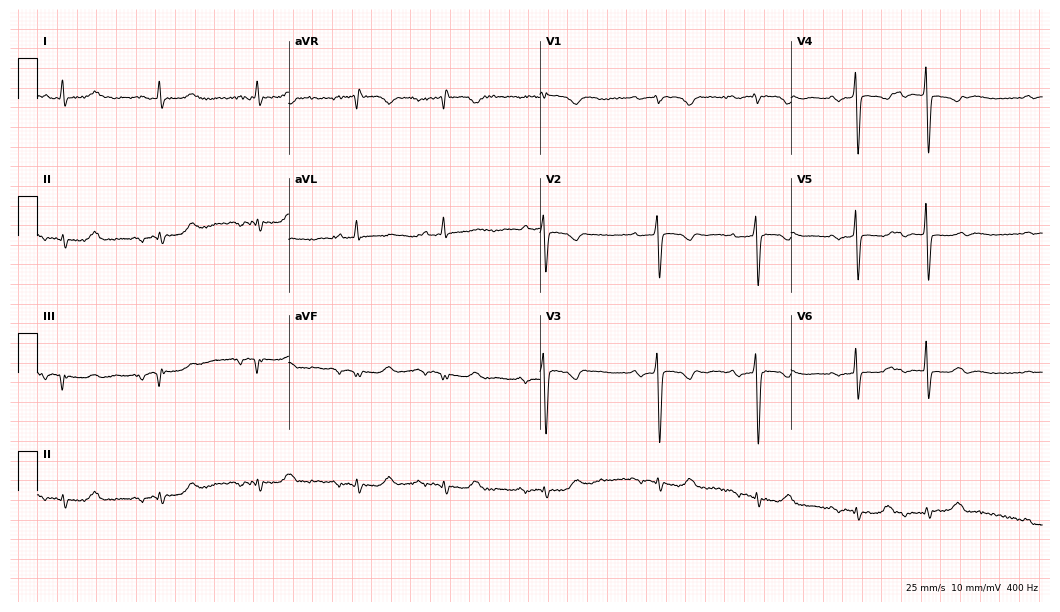
ECG — a 75-year-old female patient. Findings include first-degree AV block.